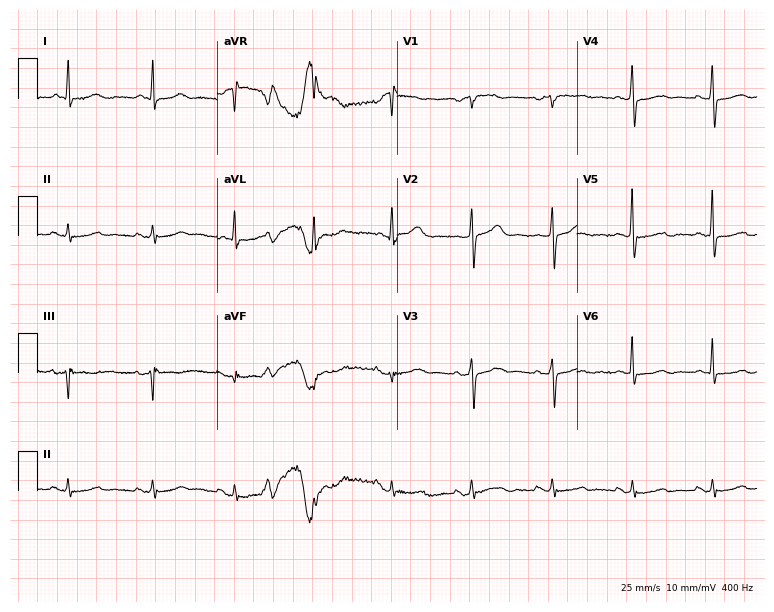
Resting 12-lead electrocardiogram (7.3-second recording at 400 Hz). Patient: a 57-year-old woman. None of these six findings is recorded: first-degree AV block, right bundle branch block, left bundle branch block, sinus bradycardia, atrial fibrillation, sinus tachycardia.